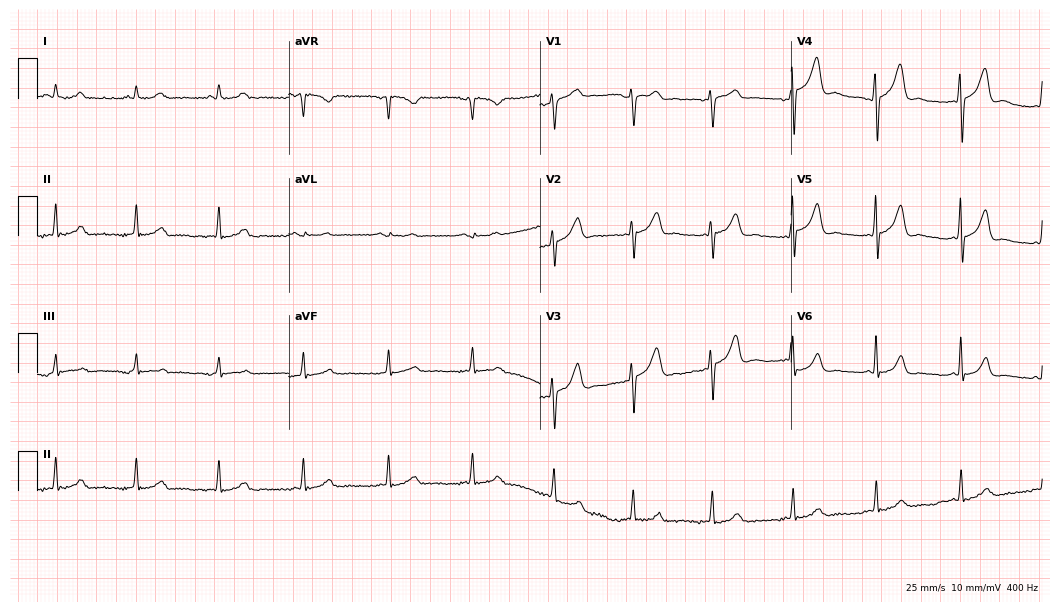
12-lead ECG (10.2-second recording at 400 Hz) from a male patient, 47 years old. Labelled as a normal ECG.